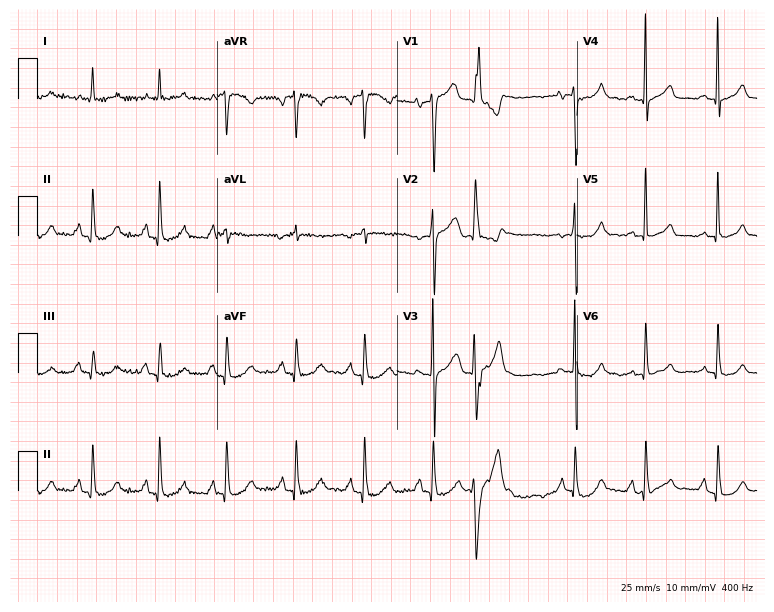
12-lead ECG (7.3-second recording at 400 Hz) from a 77-year-old female patient. Screened for six findings — first-degree AV block, right bundle branch block, left bundle branch block, sinus bradycardia, atrial fibrillation, sinus tachycardia — none is recorded. Only these six findings were labelled.